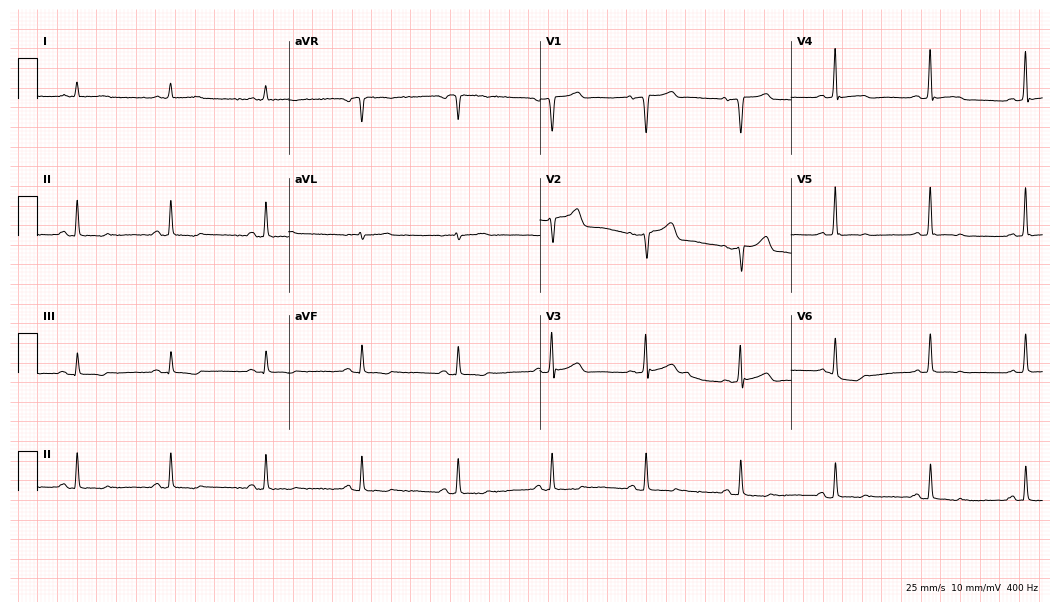
Standard 12-lead ECG recorded from a male patient, 68 years old. None of these six findings is recorded: first-degree AV block, right bundle branch block, left bundle branch block, sinus bradycardia, atrial fibrillation, sinus tachycardia.